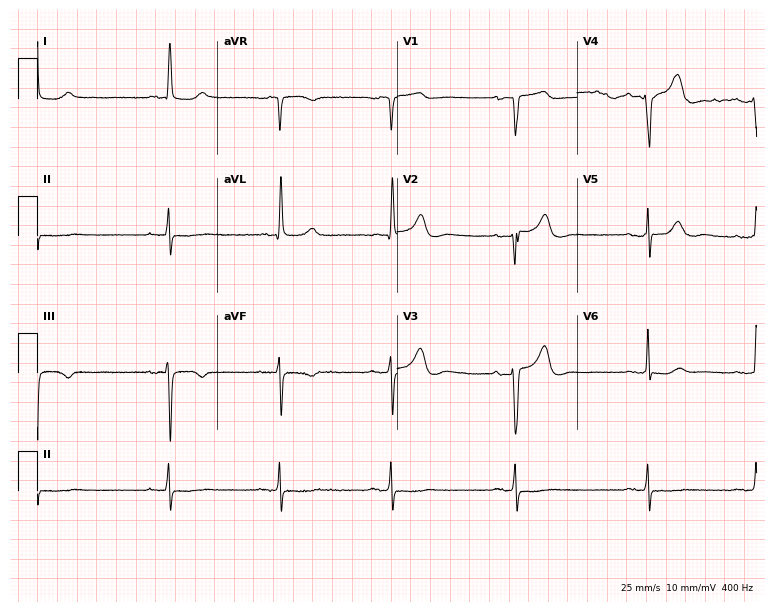
ECG (7.3-second recording at 400 Hz) — an 84-year-old woman. Findings include sinus bradycardia (a sinus rate of 50 beats per minute or less), atrial fibrillation.